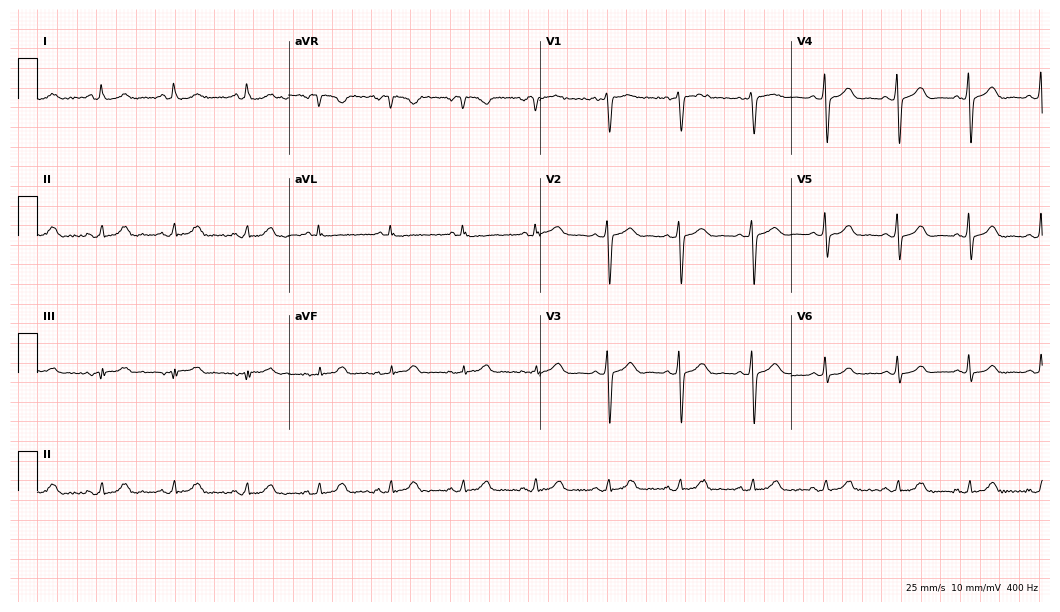
Electrocardiogram, a female, 49 years old. Of the six screened findings (first-degree AV block, right bundle branch block (RBBB), left bundle branch block (LBBB), sinus bradycardia, atrial fibrillation (AF), sinus tachycardia), none is recorded. Only these six findings were labelled.